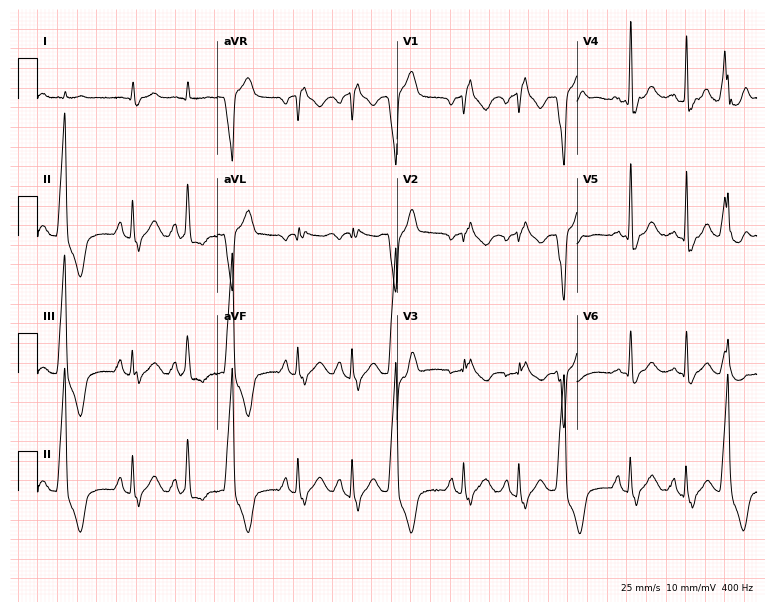
ECG (7.3-second recording at 400 Hz) — a man, 74 years old. Findings include right bundle branch block (RBBB), sinus tachycardia (a sinus rate of 100 beats per minute or more).